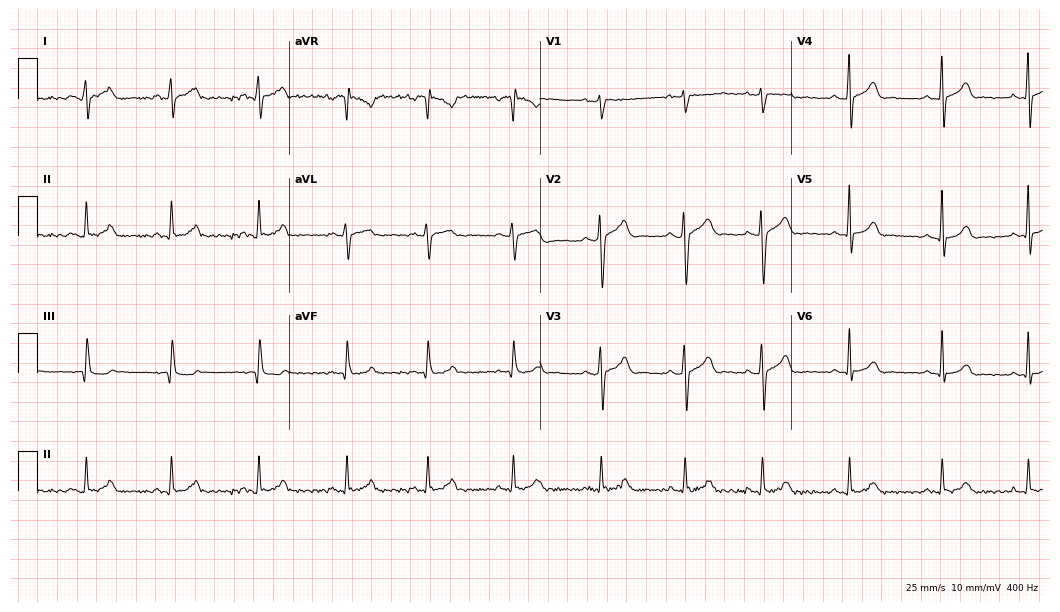
12-lead ECG (10.2-second recording at 400 Hz) from a 24-year-old male. Labelled as a normal ECG.